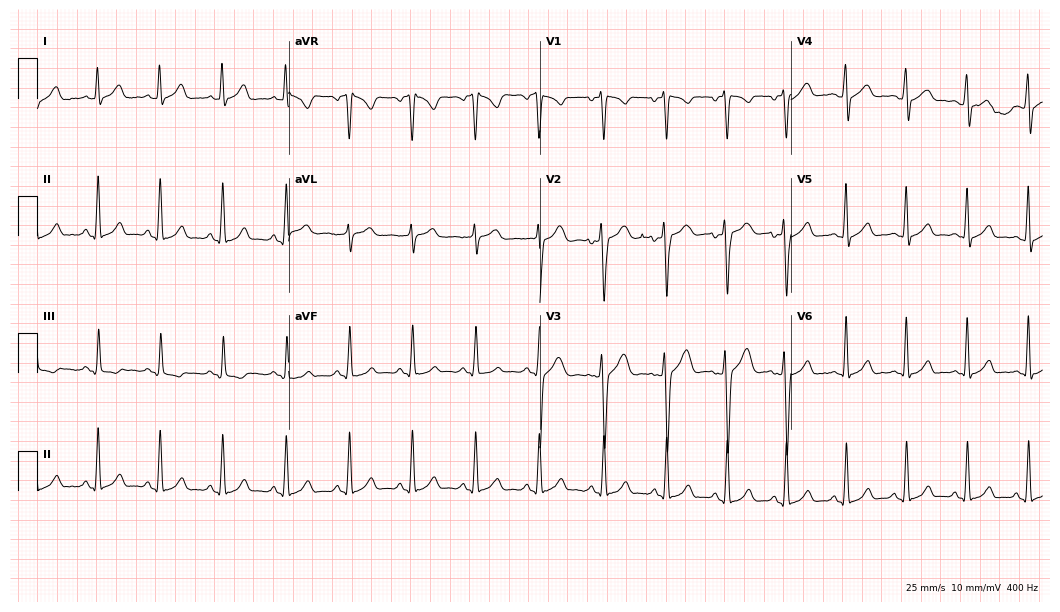
Standard 12-lead ECG recorded from a male, 19 years old. Read as a normal ECG.